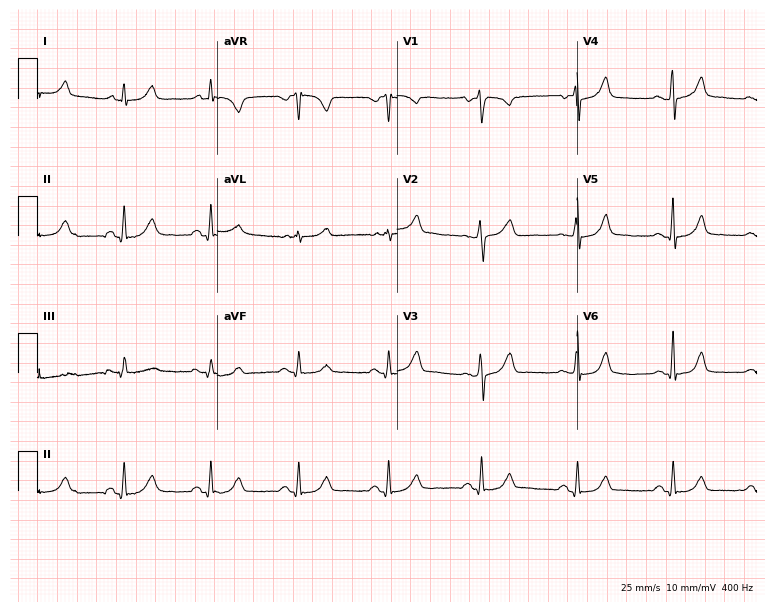
ECG (7.3-second recording at 400 Hz) — a 48-year-old female patient. Screened for six findings — first-degree AV block, right bundle branch block, left bundle branch block, sinus bradycardia, atrial fibrillation, sinus tachycardia — none is recorded.